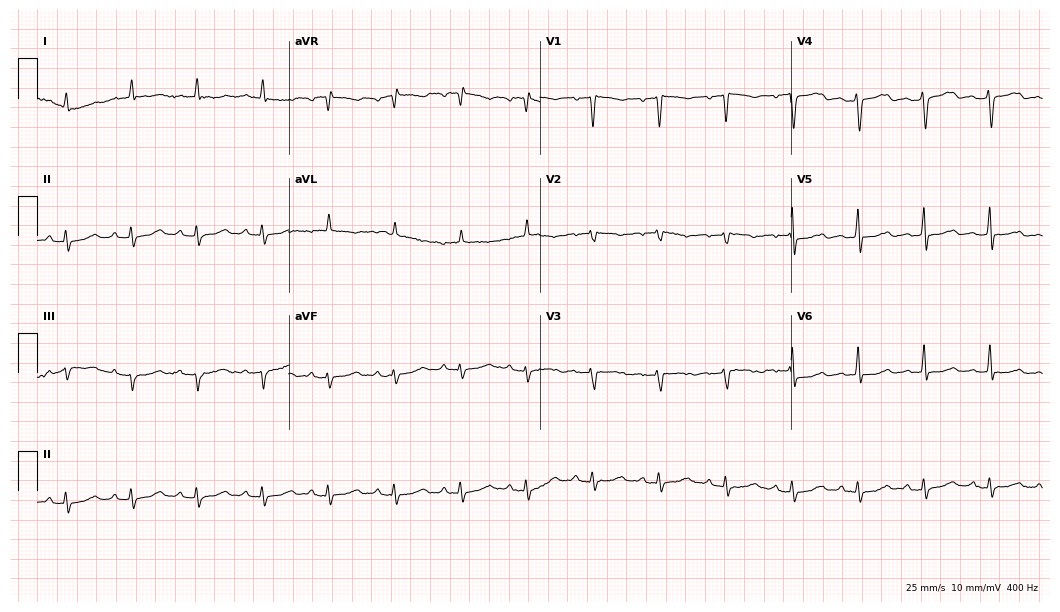
Electrocardiogram (10.2-second recording at 400 Hz), a 75-year-old woman. Of the six screened findings (first-degree AV block, right bundle branch block (RBBB), left bundle branch block (LBBB), sinus bradycardia, atrial fibrillation (AF), sinus tachycardia), none is recorded.